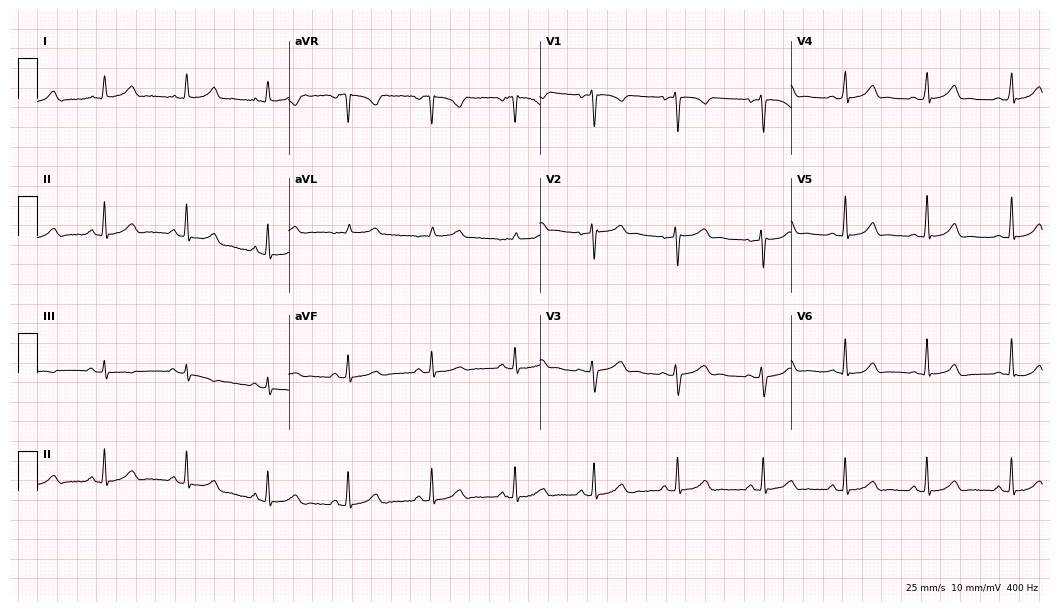
Resting 12-lead electrocardiogram (10.2-second recording at 400 Hz). Patient: a female, 35 years old. Read as a normal ECG.